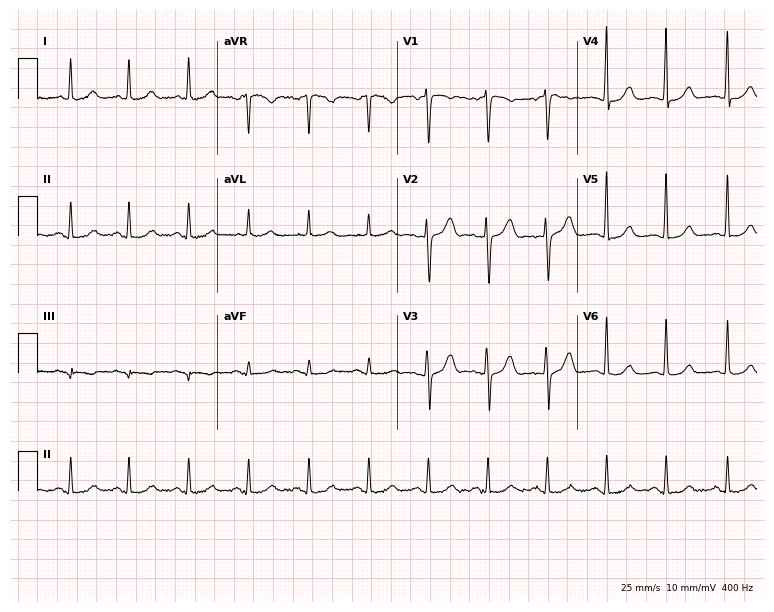
Resting 12-lead electrocardiogram. Patient: a 44-year-old female. Read as a normal ECG.